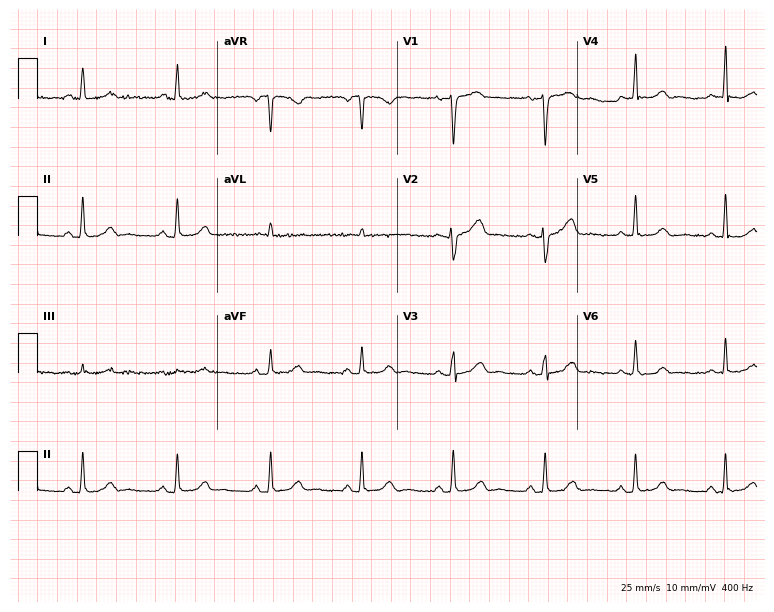
12-lead ECG from a female patient, 57 years old. No first-degree AV block, right bundle branch block, left bundle branch block, sinus bradycardia, atrial fibrillation or sinus tachycardia recorded for this tracing. Other findings, if any, are not listed.